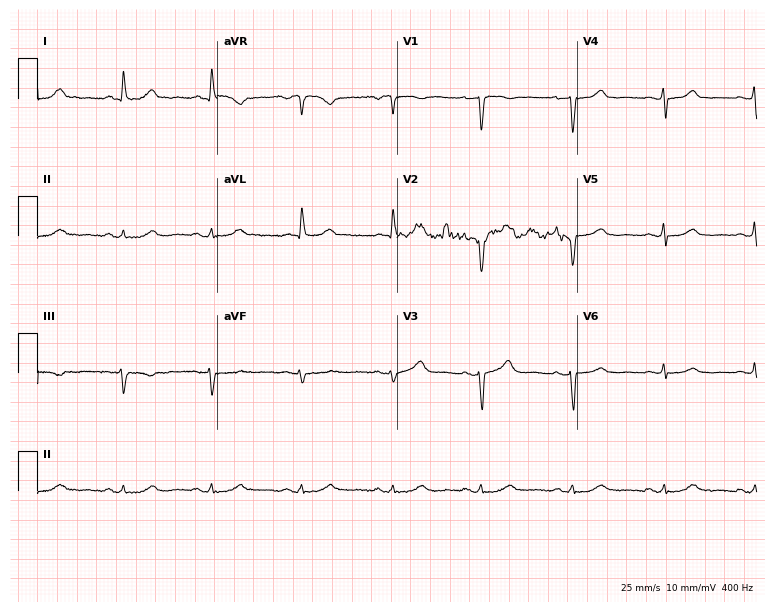
Electrocardiogram, a female patient, 46 years old. Overall reading on record: normal ECG.